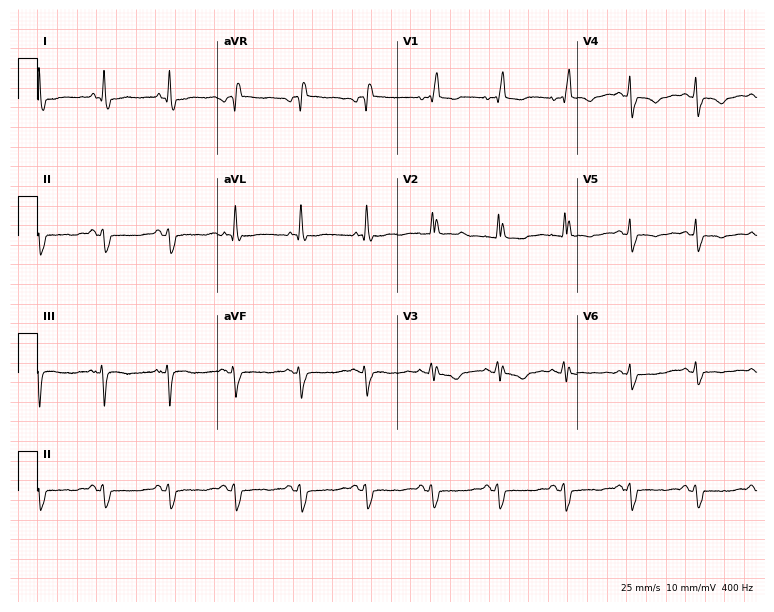
ECG — a female patient, 68 years old. Screened for six findings — first-degree AV block, right bundle branch block, left bundle branch block, sinus bradycardia, atrial fibrillation, sinus tachycardia — none is recorded. Other findings, if any, are not listed.